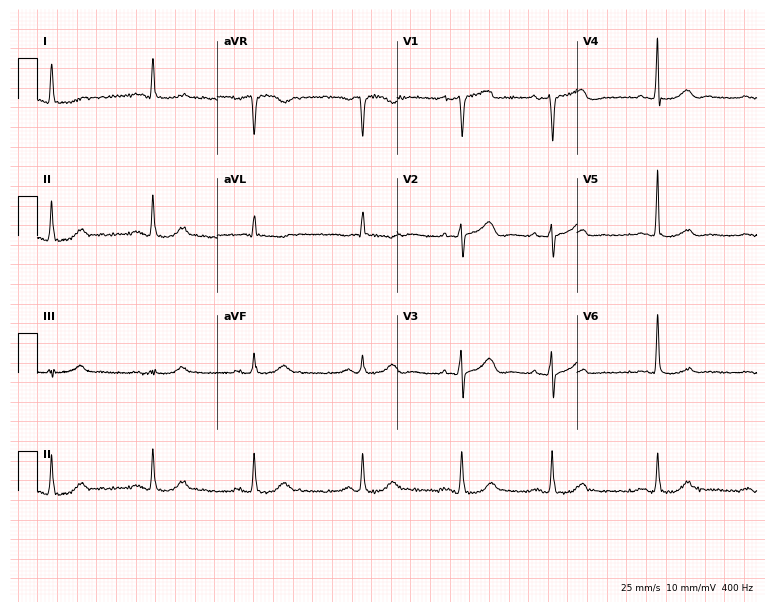
Electrocardiogram (7.3-second recording at 400 Hz), a 66-year-old female patient. Of the six screened findings (first-degree AV block, right bundle branch block (RBBB), left bundle branch block (LBBB), sinus bradycardia, atrial fibrillation (AF), sinus tachycardia), none is recorded. Other findings, if any, are not listed.